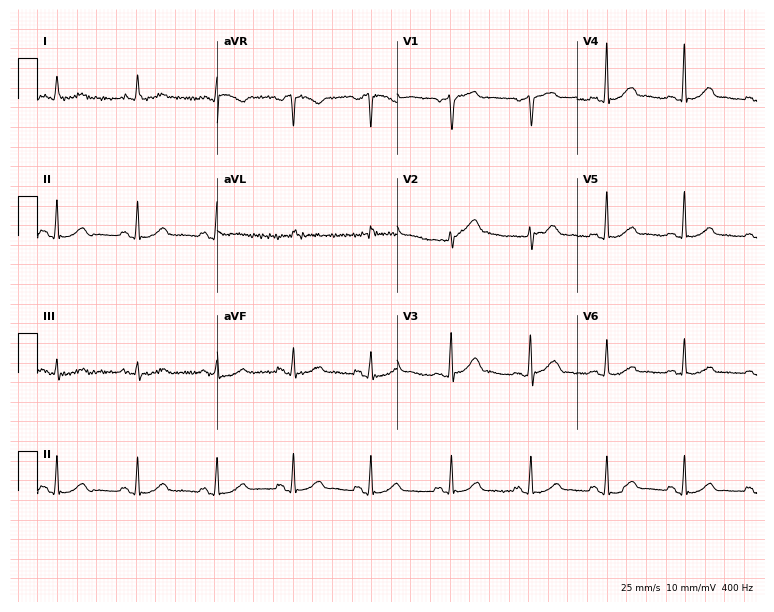
Resting 12-lead electrocardiogram (7.3-second recording at 400 Hz). Patient: a male, 61 years old. Read as a normal ECG.